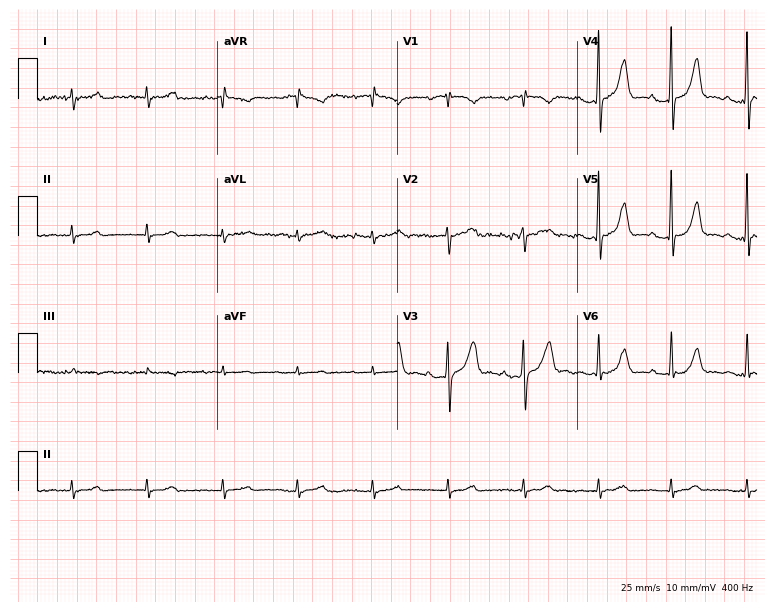
12-lead ECG (7.3-second recording at 400 Hz) from a 78-year-old woman. Labelled as a normal ECG.